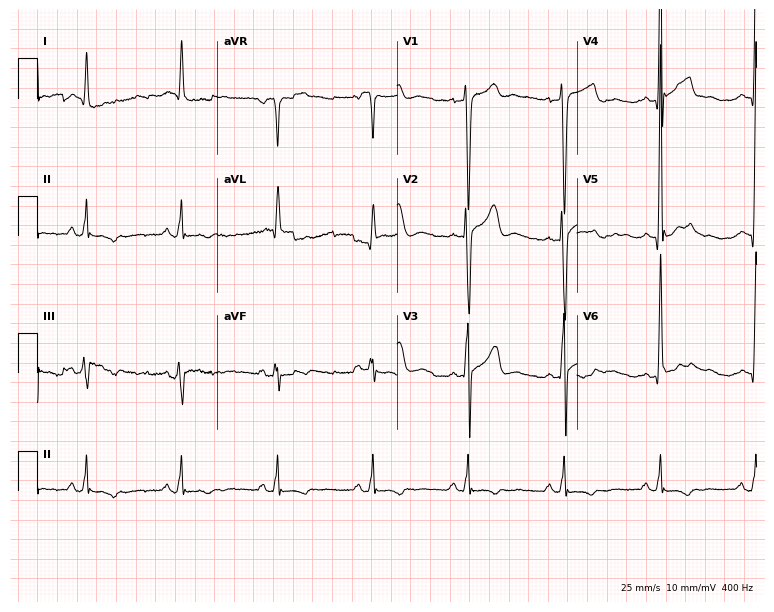
12-lead ECG (7.3-second recording at 400 Hz) from a 54-year-old male. Screened for six findings — first-degree AV block, right bundle branch block (RBBB), left bundle branch block (LBBB), sinus bradycardia, atrial fibrillation (AF), sinus tachycardia — none is recorded.